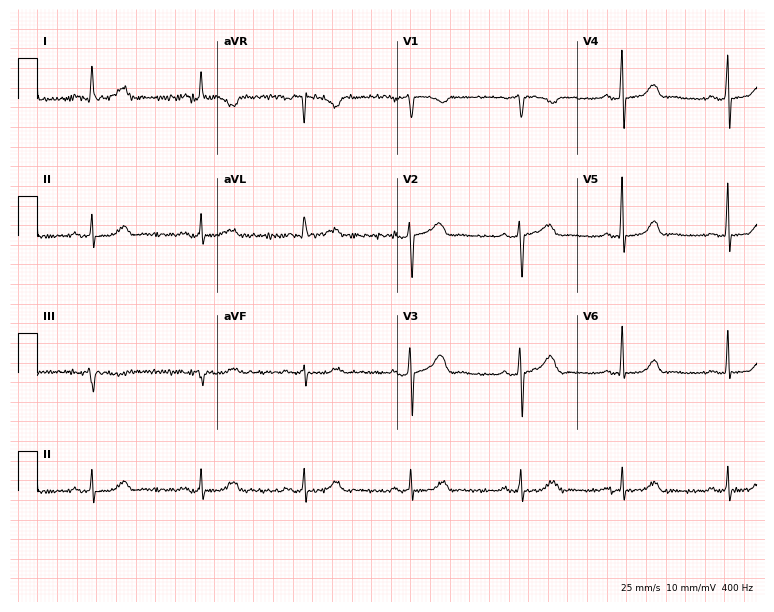
12-lead ECG from a 55-year-old female patient. Labelled as a normal ECG.